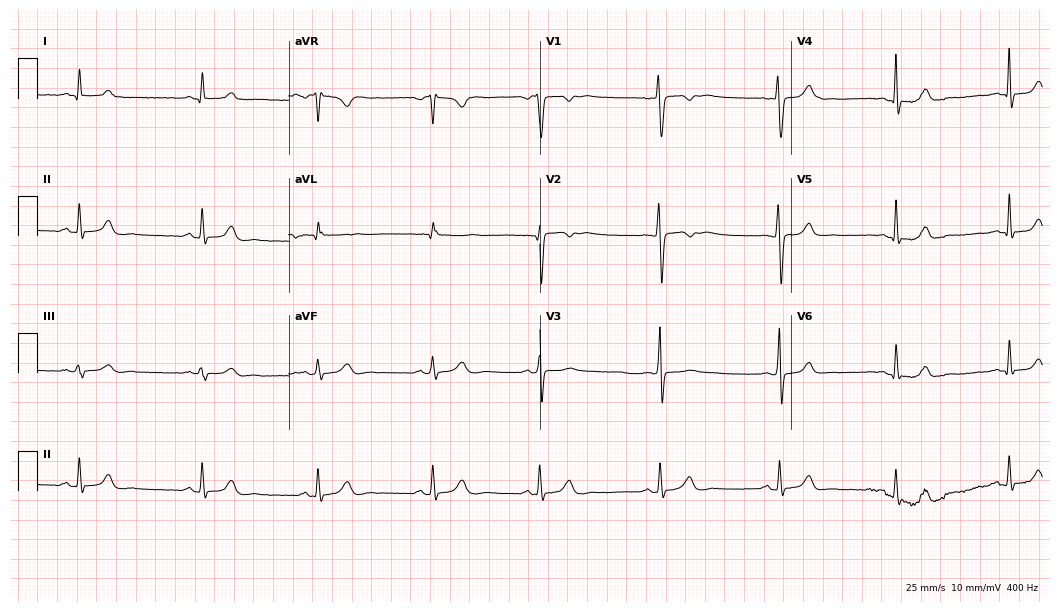
Electrocardiogram (10.2-second recording at 400 Hz), a female patient, 22 years old. Of the six screened findings (first-degree AV block, right bundle branch block, left bundle branch block, sinus bradycardia, atrial fibrillation, sinus tachycardia), none is recorded.